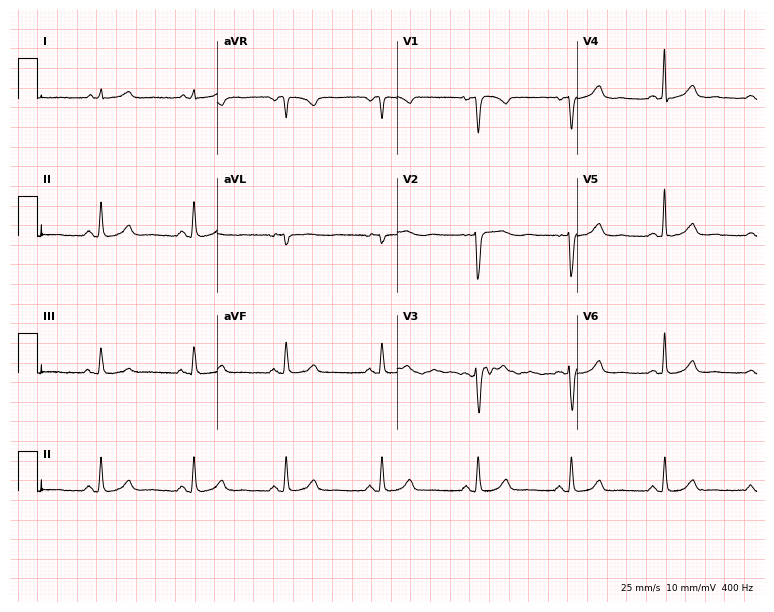
12-lead ECG (7.3-second recording at 400 Hz) from a 40-year-old female. Labelled as a normal ECG.